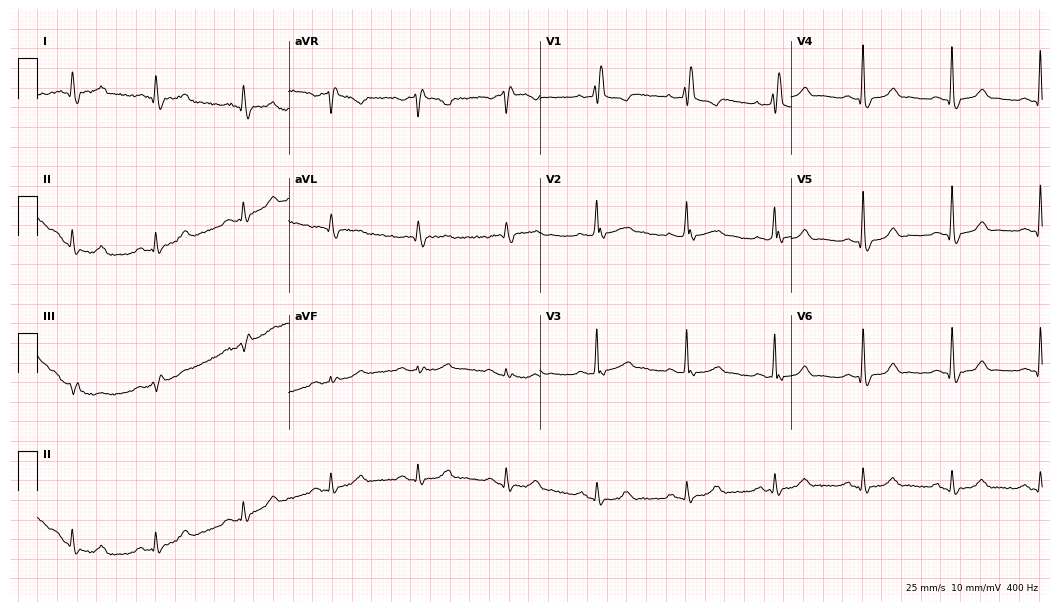
12-lead ECG from a 64-year-old male. No first-degree AV block, right bundle branch block, left bundle branch block, sinus bradycardia, atrial fibrillation or sinus tachycardia recorded for this tracing. Only these six findings were labelled.